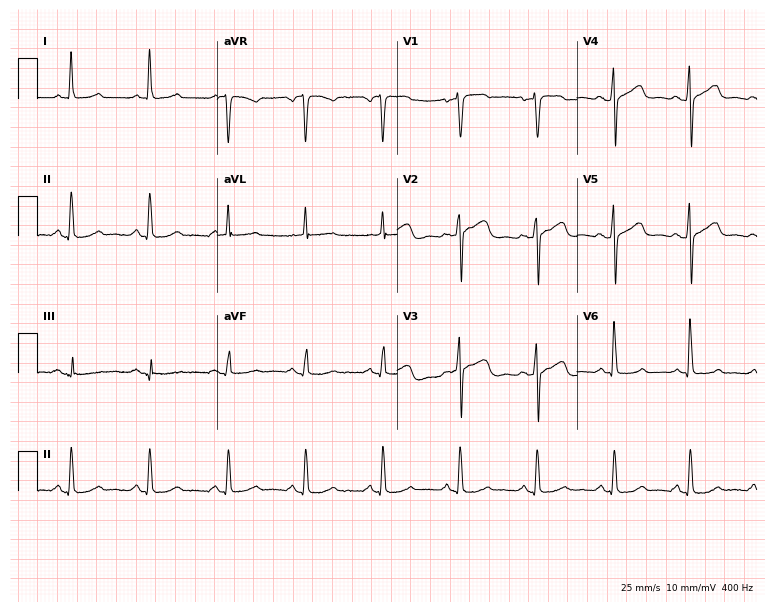
Electrocardiogram, a female, 60 years old. Overall reading on record: normal ECG.